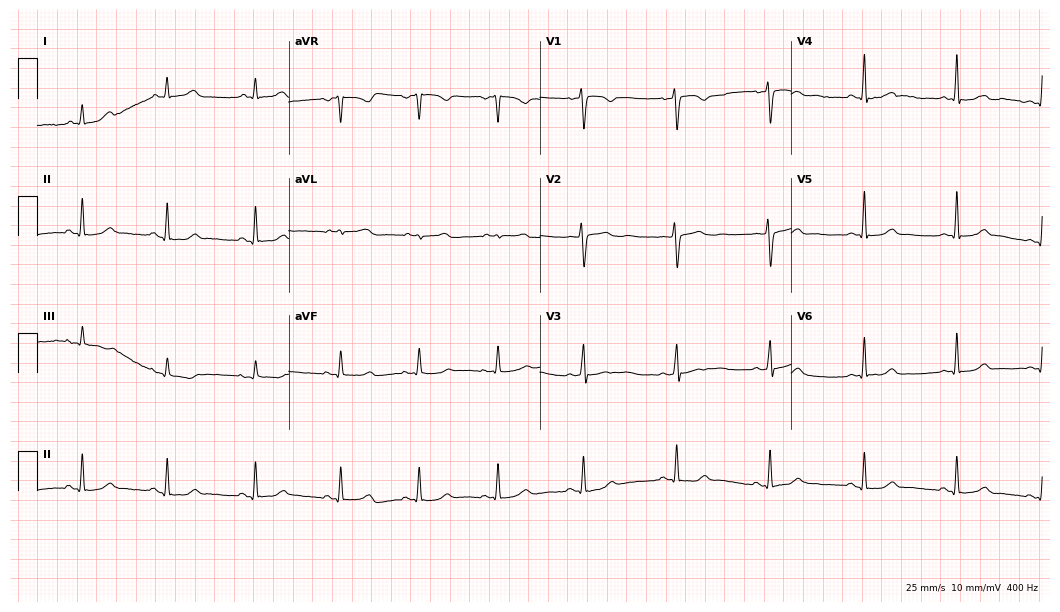
Electrocardiogram (10.2-second recording at 400 Hz), a 24-year-old female patient. Overall reading on record: normal ECG.